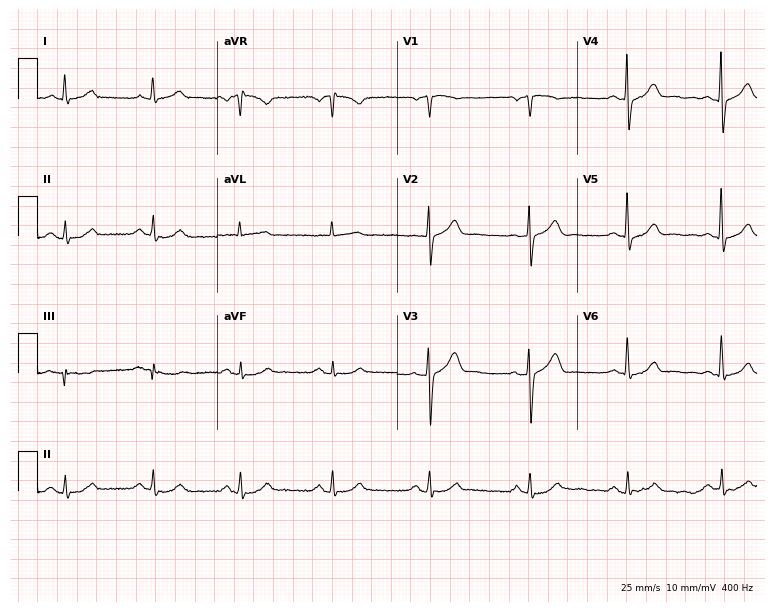
12-lead ECG from a 58-year-old man. Recorded interpretation: within normal limits.